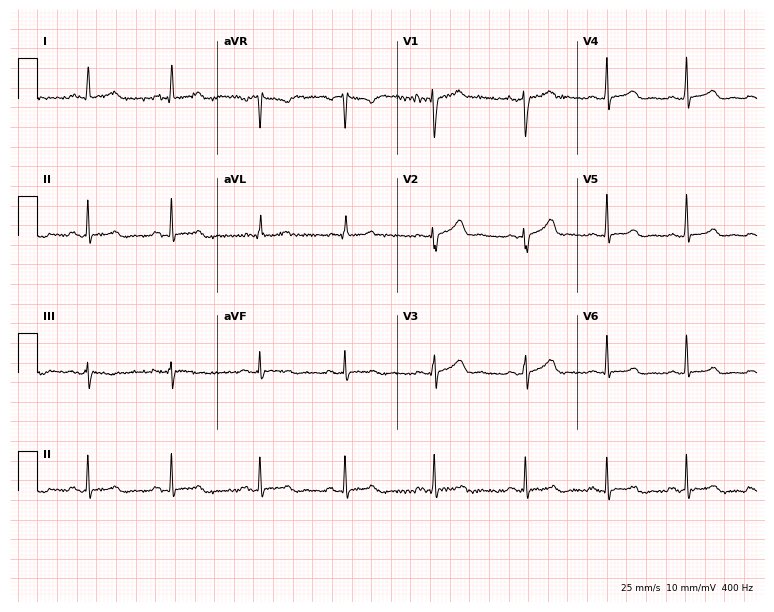
12-lead ECG from a 38-year-old woman (7.3-second recording at 400 Hz). Recorded interpretation: within normal limits.